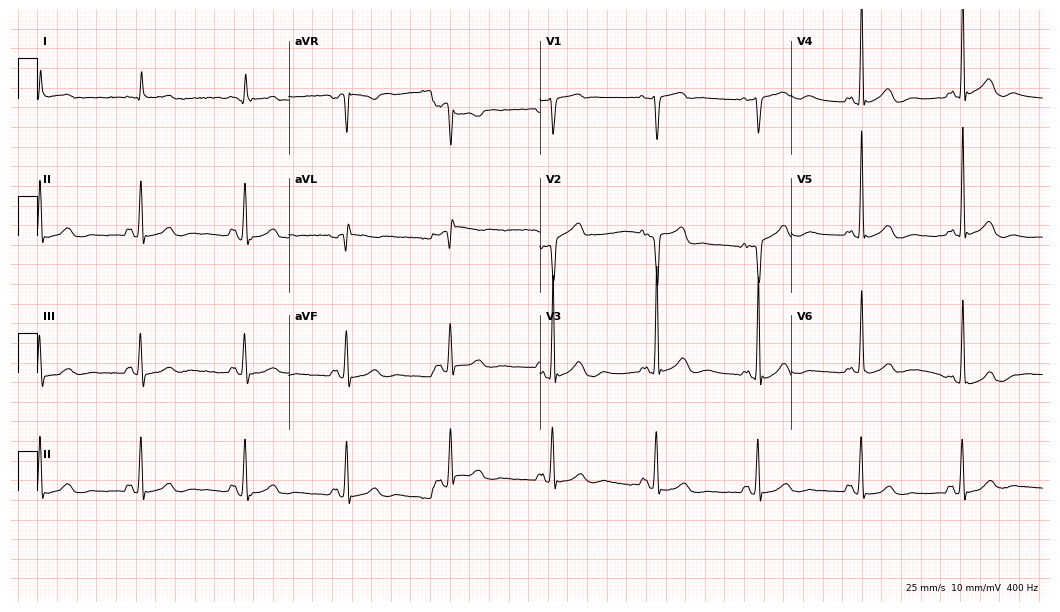
Resting 12-lead electrocardiogram. Patient: a man, 73 years old. None of these six findings is recorded: first-degree AV block, right bundle branch block, left bundle branch block, sinus bradycardia, atrial fibrillation, sinus tachycardia. Only these six findings were labelled.